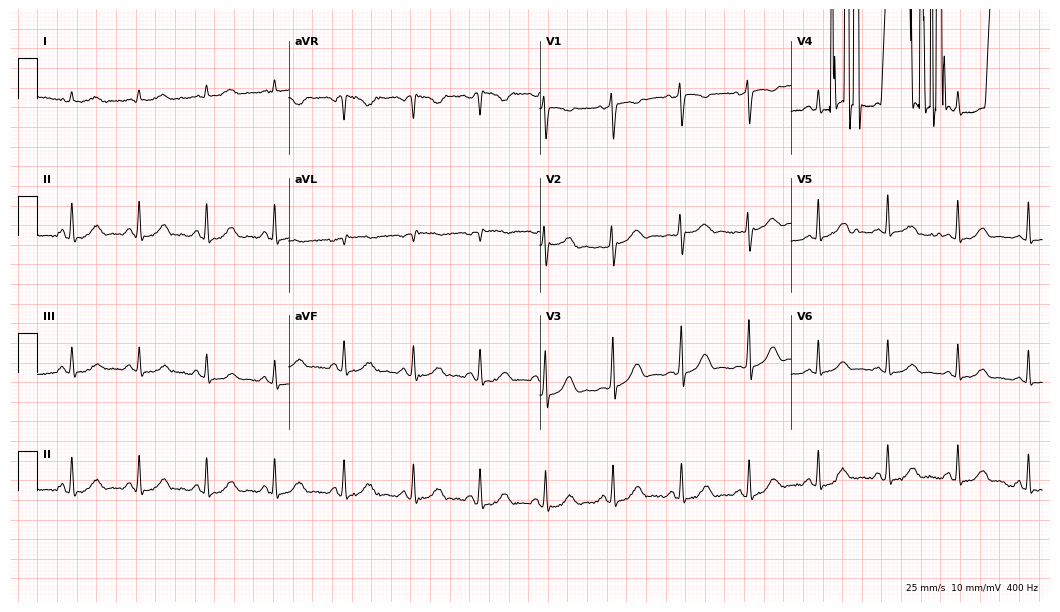
ECG — a woman, 46 years old. Screened for six findings — first-degree AV block, right bundle branch block, left bundle branch block, sinus bradycardia, atrial fibrillation, sinus tachycardia — none is recorded. Other findings, if any, are not listed.